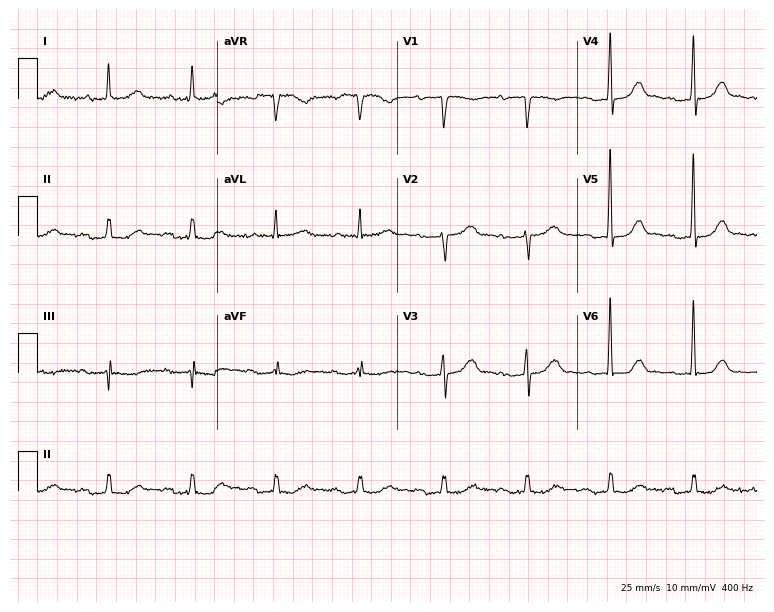
Electrocardiogram, a male, 84 years old. Interpretation includes first-degree AV block.